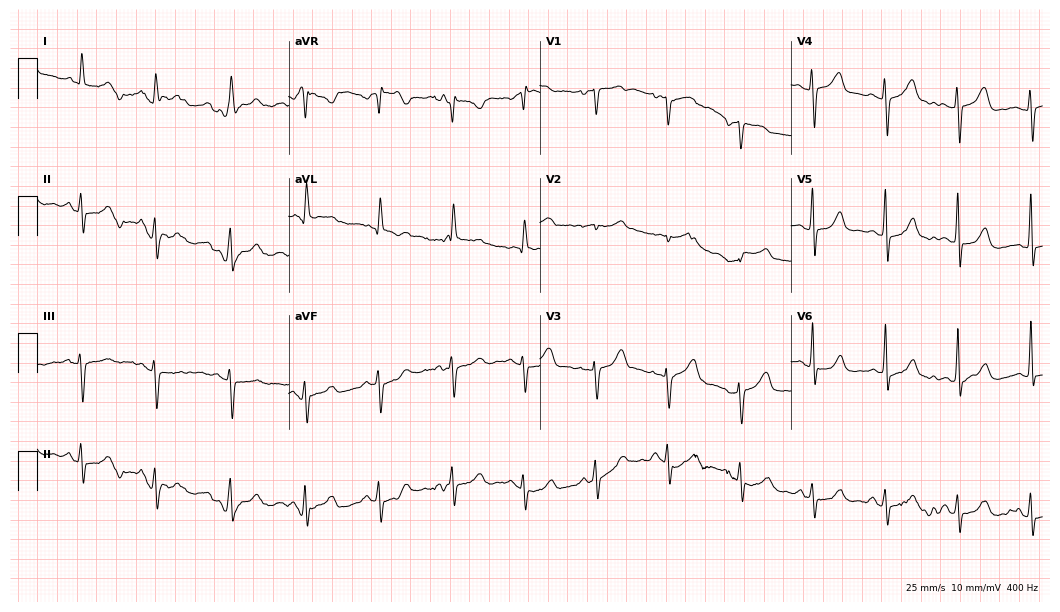
ECG — a female patient, 78 years old. Labelled as a normal ECG.